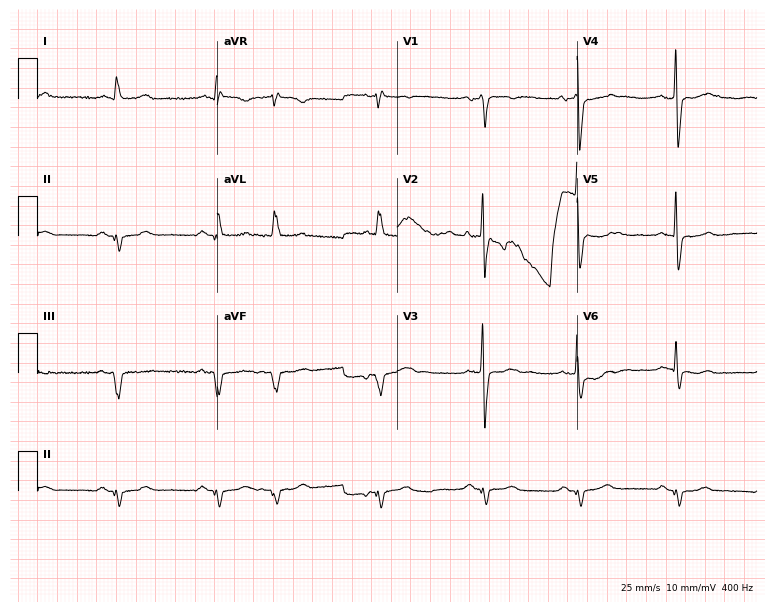
12-lead ECG from a male, 77 years old. Screened for six findings — first-degree AV block, right bundle branch block, left bundle branch block, sinus bradycardia, atrial fibrillation, sinus tachycardia — none is recorded.